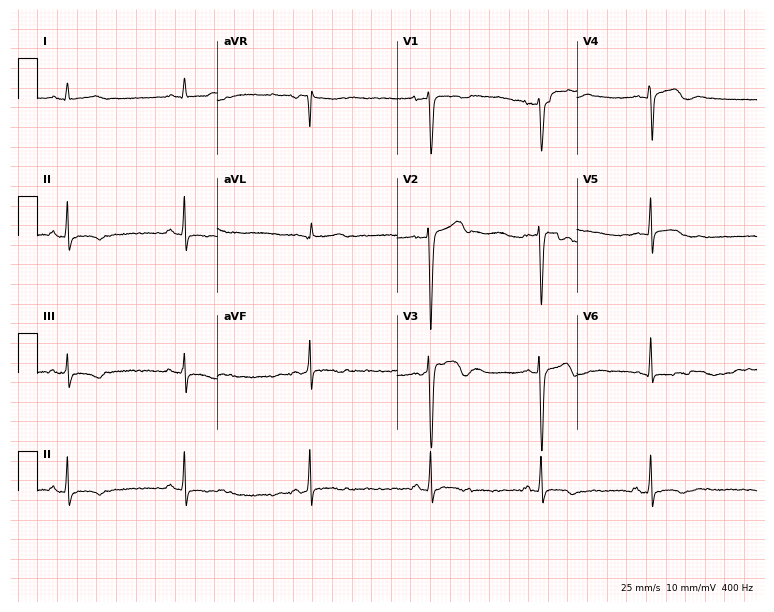
Electrocardiogram, a 23-year-old male patient. Interpretation includes sinus bradycardia (a sinus rate of 50 beats per minute or less).